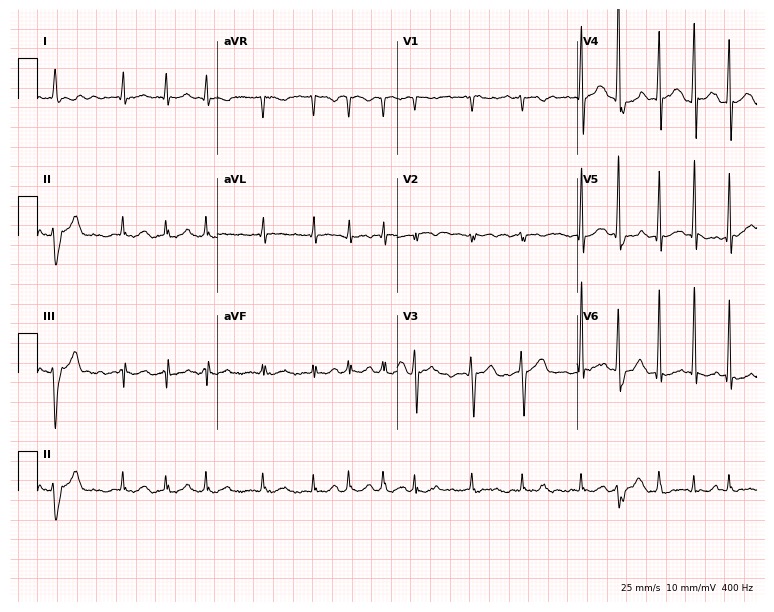
Standard 12-lead ECG recorded from a 64-year-old male patient (7.3-second recording at 400 Hz). The tracing shows atrial fibrillation.